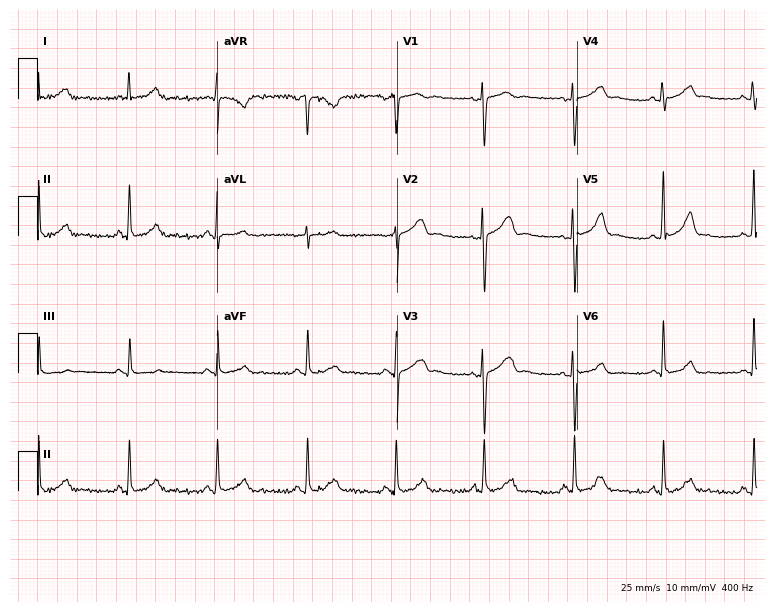
Resting 12-lead electrocardiogram. Patient: a 44-year-old woman. Read as a normal ECG.